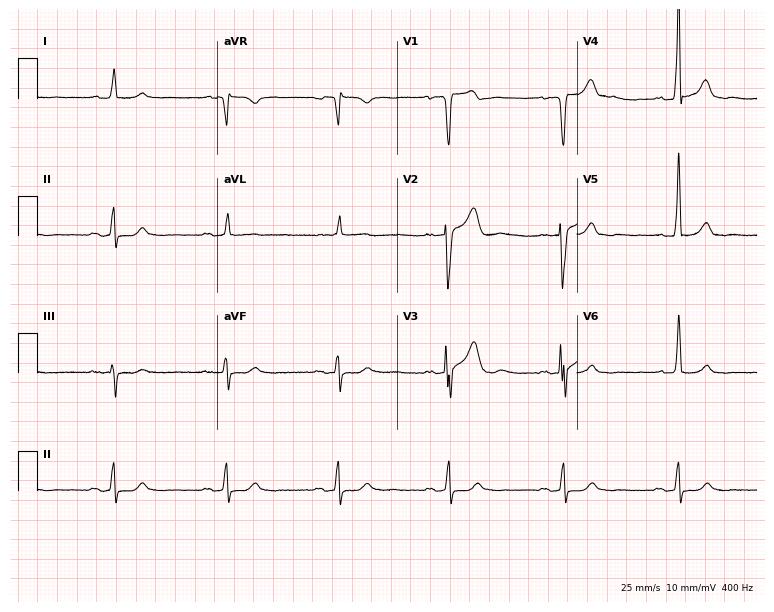
Resting 12-lead electrocardiogram. Patient: a male, 74 years old. Read as a normal ECG.